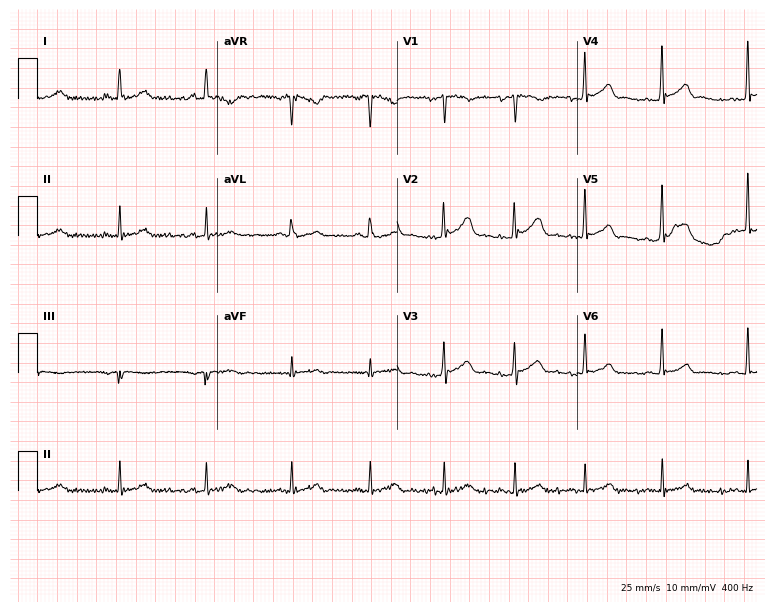
ECG (7.3-second recording at 400 Hz) — a man, 50 years old. Screened for six findings — first-degree AV block, right bundle branch block, left bundle branch block, sinus bradycardia, atrial fibrillation, sinus tachycardia — none is recorded.